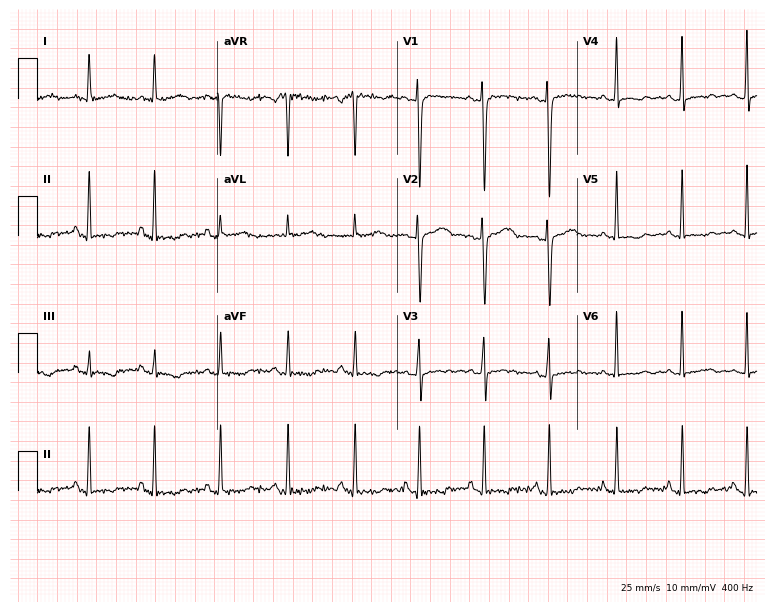
Standard 12-lead ECG recorded from a female patient, 34 years old (7.3-second recording at 400 Hz). None of these six findings is recorded: first-degree AV block, right bundle branch block (RBBB), left bundle branch block (LBBB), sinus bradycardia, atrial fibrillation (AF), sinus tachycardia.